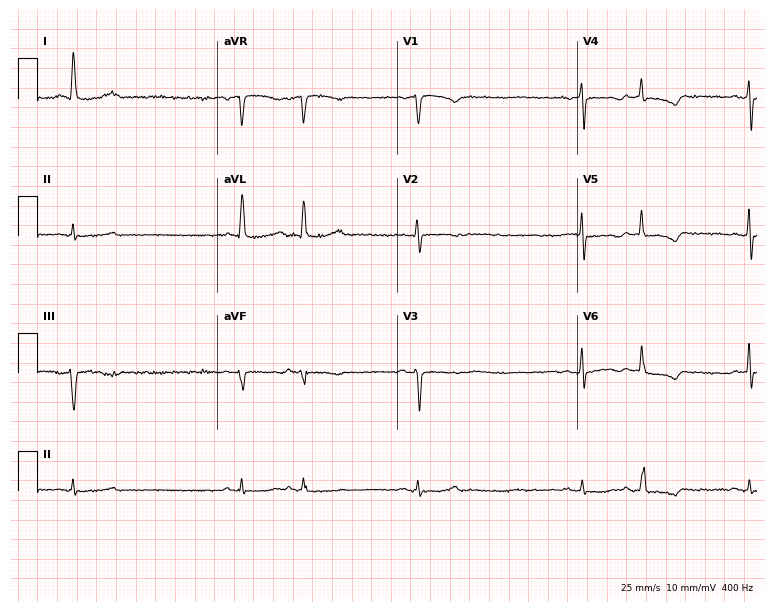
12-lead ECG from a woman, 70 years old. No first-degree AV block, right bundle branch block, left bundle branch block, sinus bradycardia, atrial fibrillation or sinus tachycardia recorded for this tracing. Other findings, if any, are not listed.